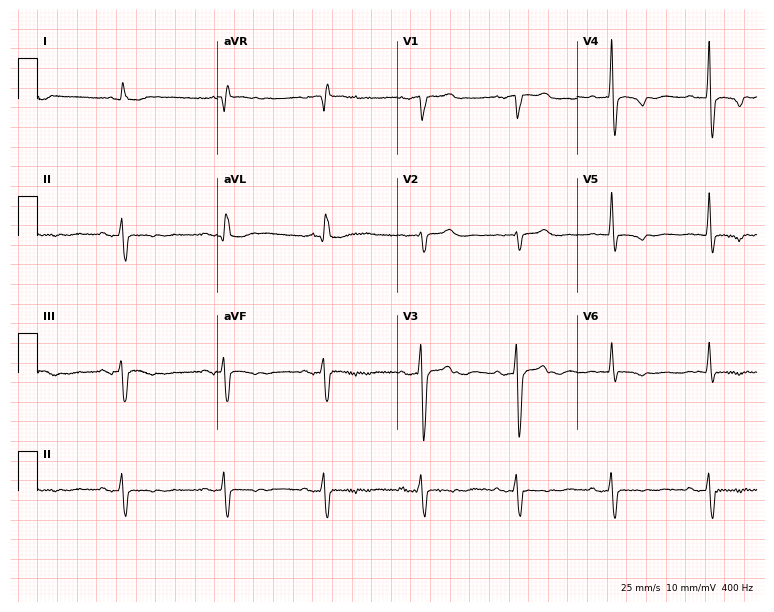
12-lead ECG from a male patient, 79 years old. No first-degree AV block, right bundle branch block (RBBB), left bundle branch block (LBBB), sinus bradycardia, atrial fibrillation (AF) or sinus tachycardia recorded for this tracing.